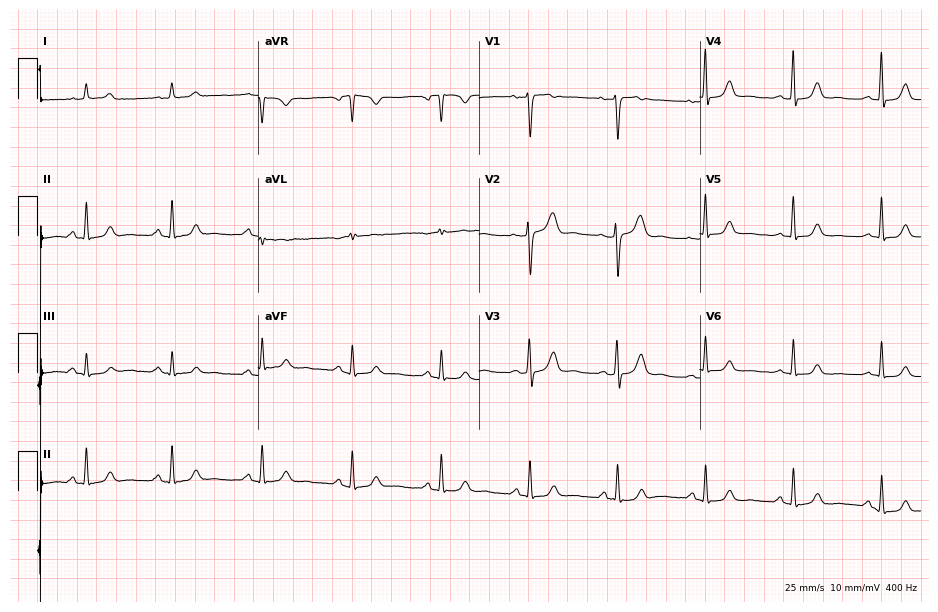
Electrocardiogram (9-second recording at 400 Hz), a female, 29 years old. Overall reading on record: normal ECG.